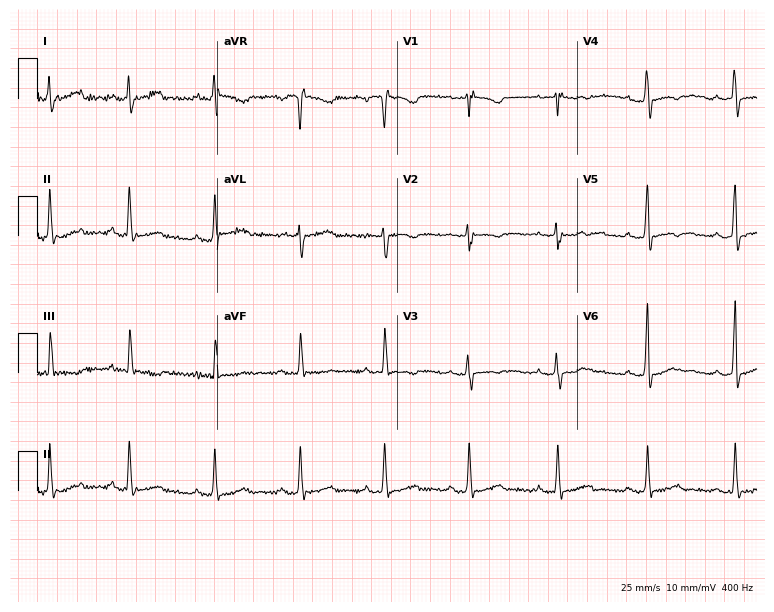
Electrocardiogram, a 44-year-old female patient. Of the six screened findings (first-degree AV block, right bundle branch block, left bundle branch block, sinus bradycardia, atrial fibrillation, sinus tachycardia), none is recorded. Findings outside these six are not listed.